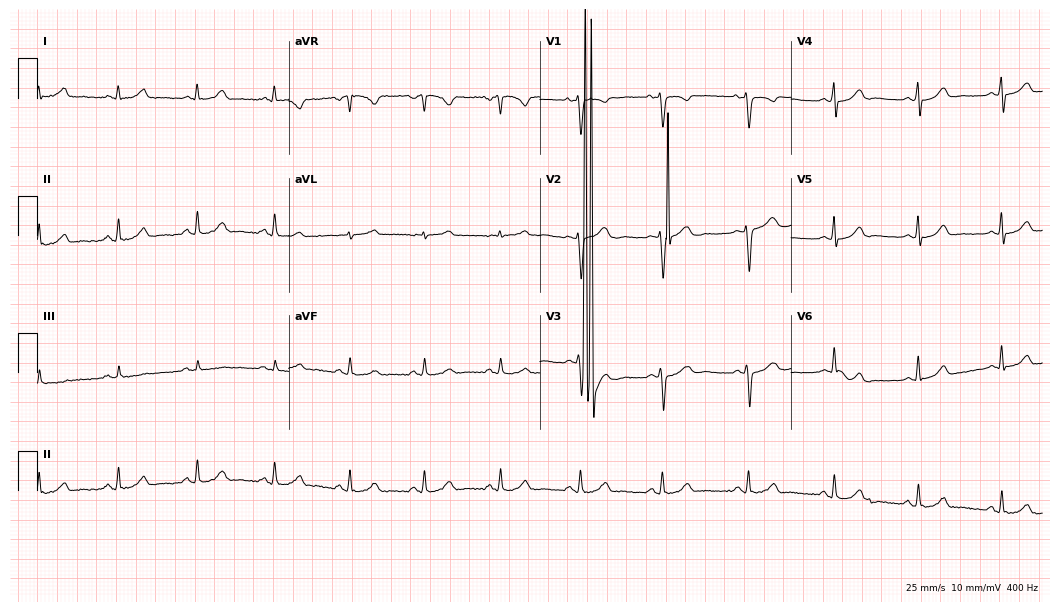
12-lead ECG from a woman, 34 years old (10.2-second recording at 400 Hz). No first-degree AV block, right bundle branch block (RBBB), left bundle branch block (LBBB), sinus bradycardia, atrial fibrillation (AF) or sinus tachycardia recorded for this tracing.